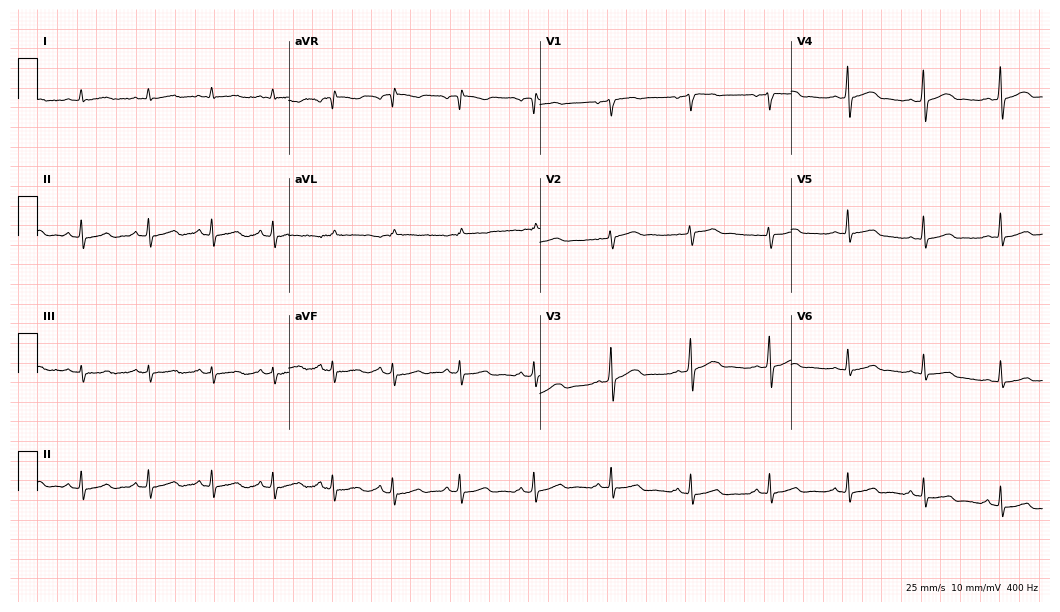
12-lead ECG from a woman, 36 years old (10.2-second recording at 400 Hz). No first-degree AV block, right bundle branch block (RBBB), left bundle branch block (LBBB), sinus bradycardia, atrial fibrillation (AF) or sinus tachycardia recorded for this tracing. Only these six findings were labelled.